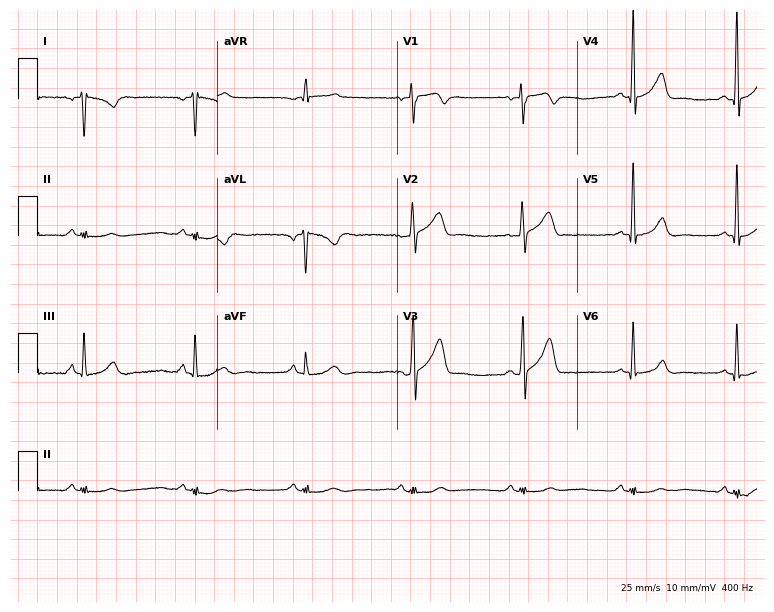
Standard 12-lead ECG recorded from a man, 52 years old. None of these six findings is recorded: first-degree AV block, right bundle branch block, left bundle branch block, sinus bradycardia, atrial fibrillation, sinus tachycardia. Other findings, if any, are not listed.